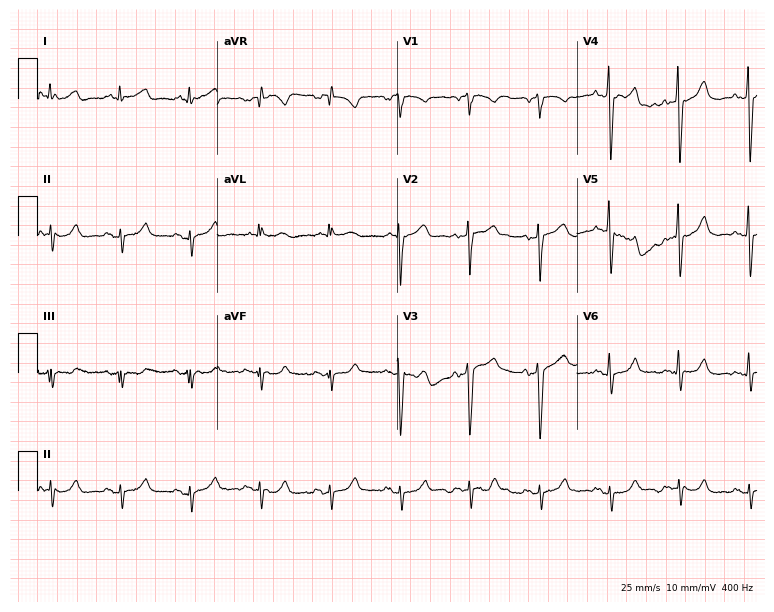
12-lead ECG (7.3-second recording at 400 Hz) from a man, 63 years old. Screened for six findings — first-degree AV block, right bundle branch block, left bundle branch block, sinus bradycardia, atrial fibrillation, sinus tachycardia — none is recorded.